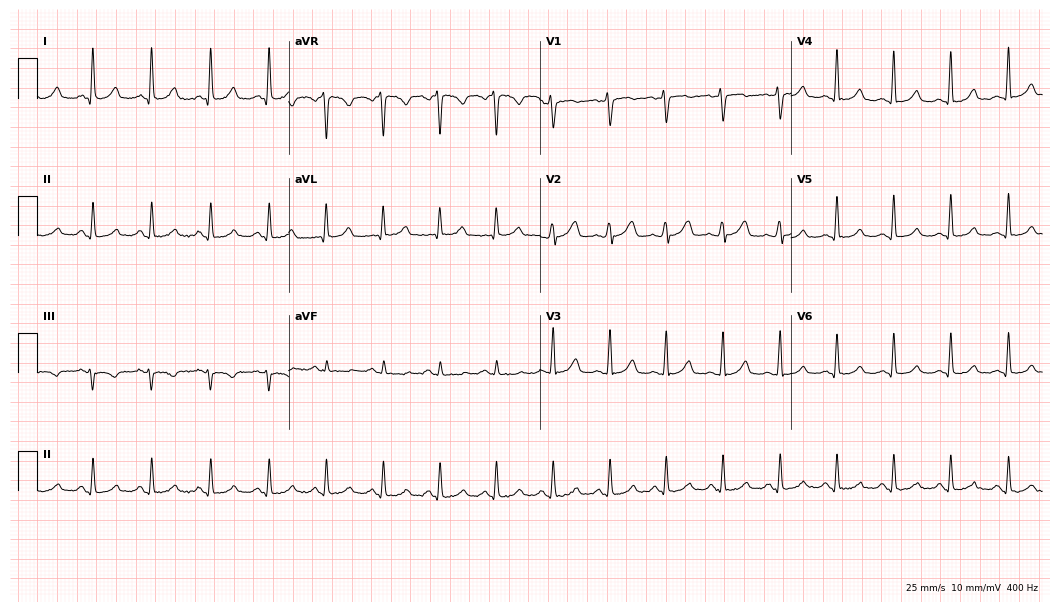
Electrocardiogram (10.2-second recording at 400 Hz), a 46-year-old female. Interpretation includes sinus tachycardia (a sinus rate of 100 beats per minute or more).